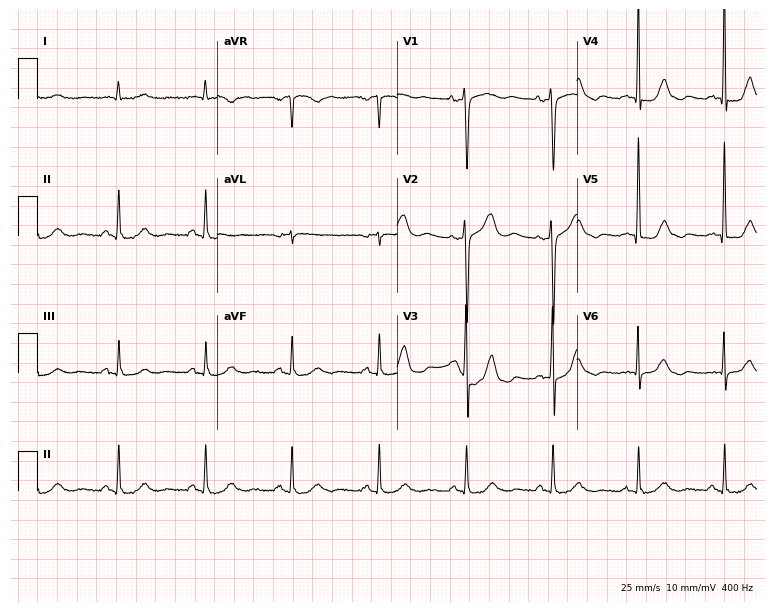
Standard 12-lead ECG recorded from a male patient, 81 years old (7.3-second recording at 400 Hz). Read as a normal ECG.